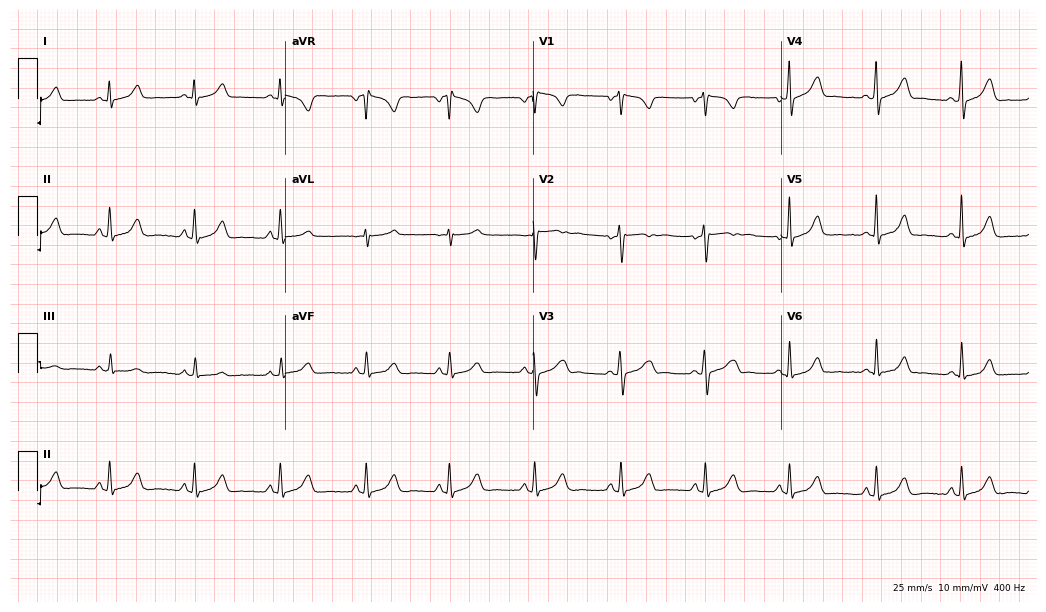
ECG — a female, 29 years old. Labelled as a normal ECG.